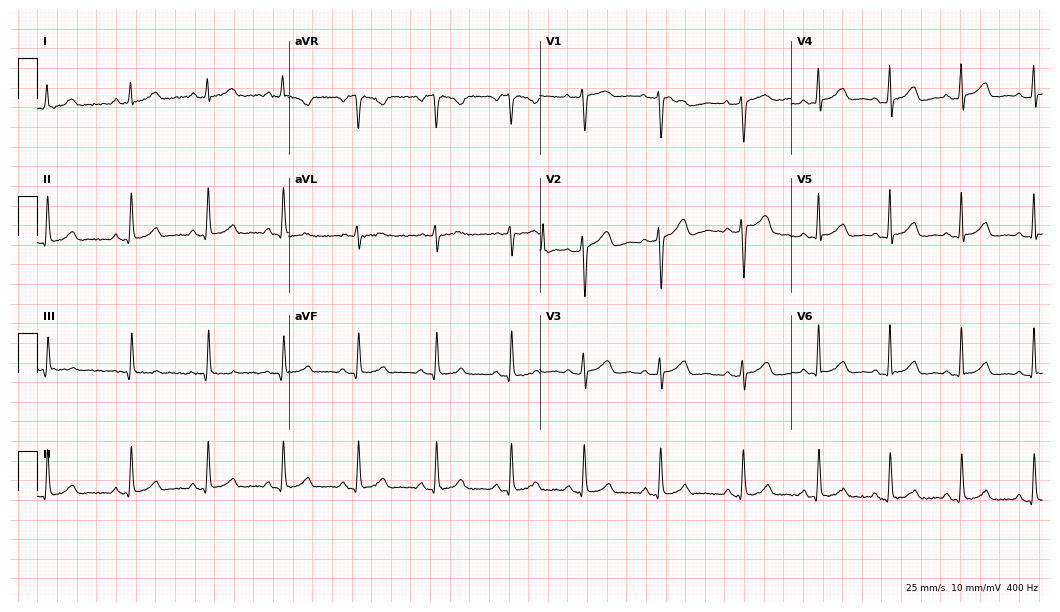
12-lead ECG from a 29-year-old female (10.2-second recording at 400 Hz). Recorded interpretation: within normal limits.